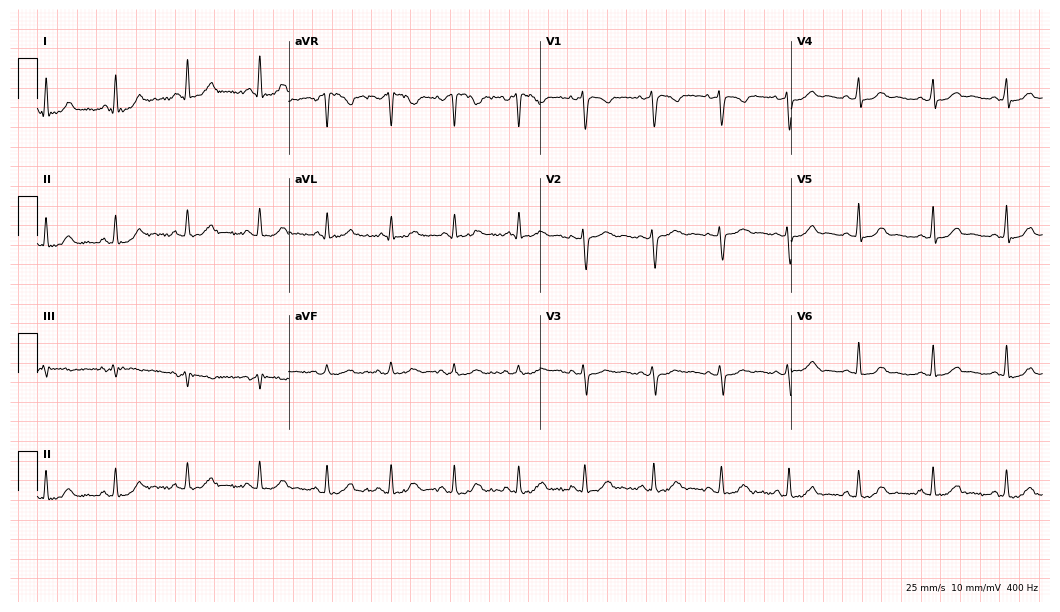
Resting 12-lead electrocardiogram. Patient: a woman, 33 years old. Read as a normal ECG.